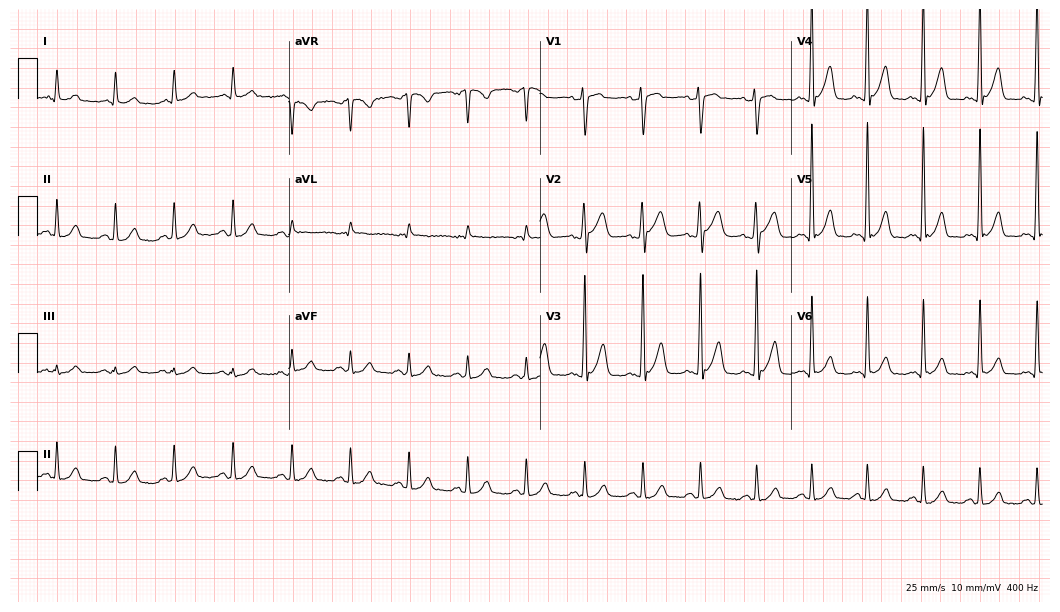
12-lead ECG from a 50-year-old man. Shows sinus tachycardia (a sinus rate of 100 beats per minute or more).